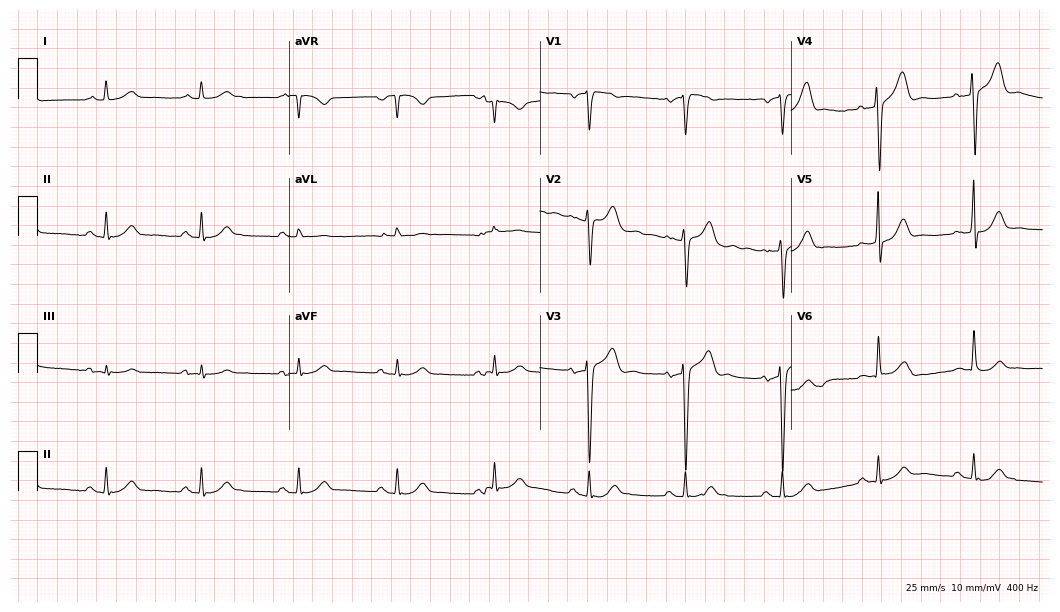
12-lead ECG from a 46-year-old male patient (10.2-second recording at 400 Hz). Recorded interpretation: within normal limits.